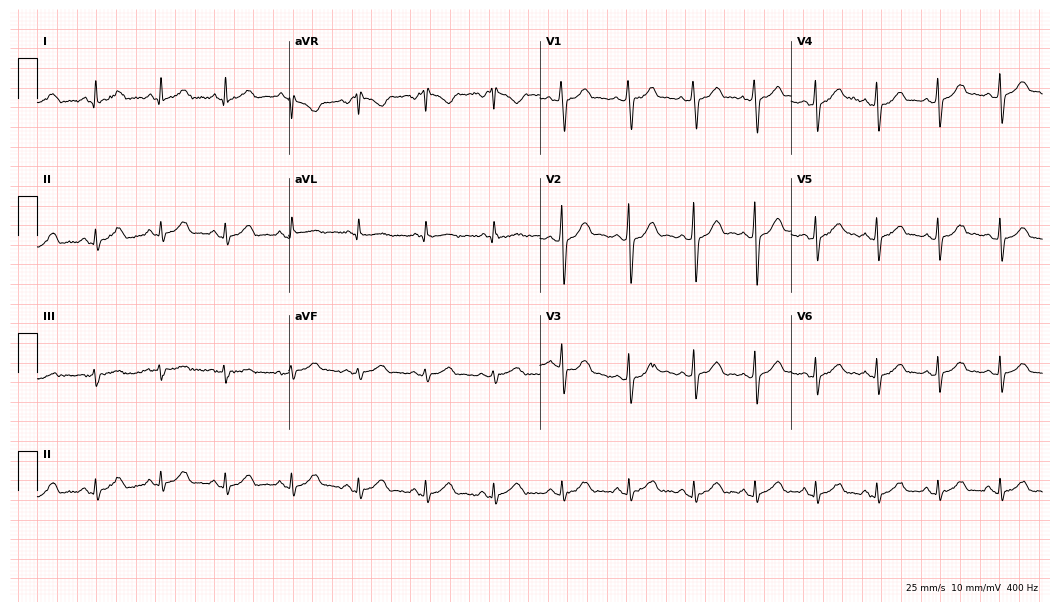
12-lead ECG from a male patient, 36 years old. Labelled as a normal ECG.